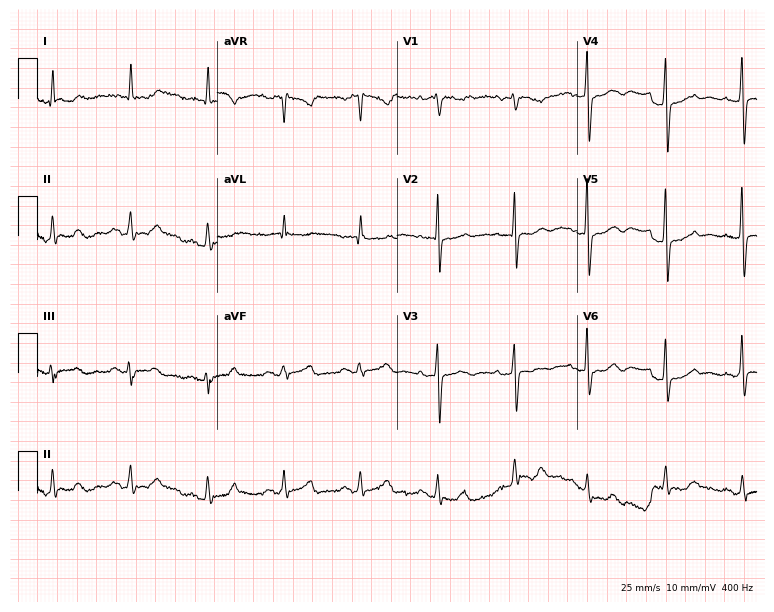
12-lead ECG from a 69-year-old female patient. Screened for six findings — first-degree AV block, right bundle branch block, left bundle branch block, sinus bradycardia, atrial fibrillation, sinus tachycardia — none is recorded. Other findings, if any, are not listed.